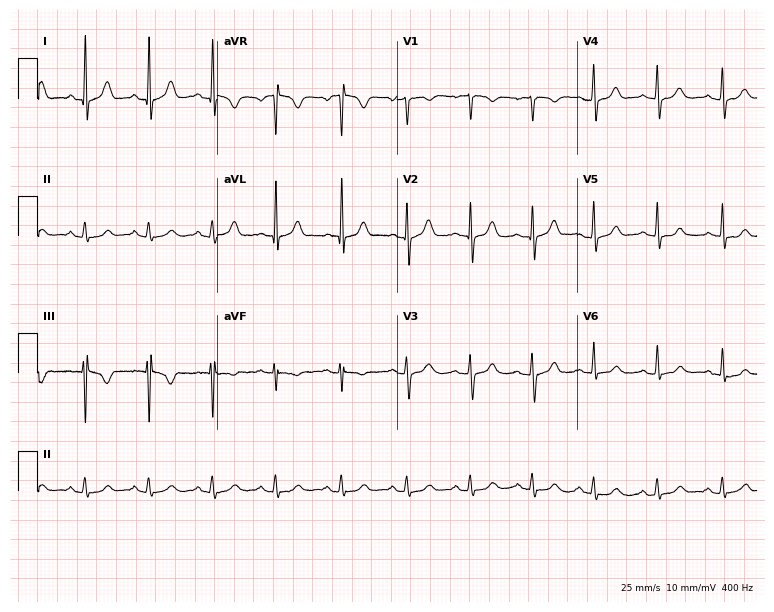
Electrocardiogram, a woman, 51 years old. Of the six screened findings (first-degree AV block, right bundle branch block (RBBB), left bundle branch block (LBBB), sinus bradycardia, atrial fibrillation (AF), sinus tachycardia), none is recorded. Only these six findings were labelled.